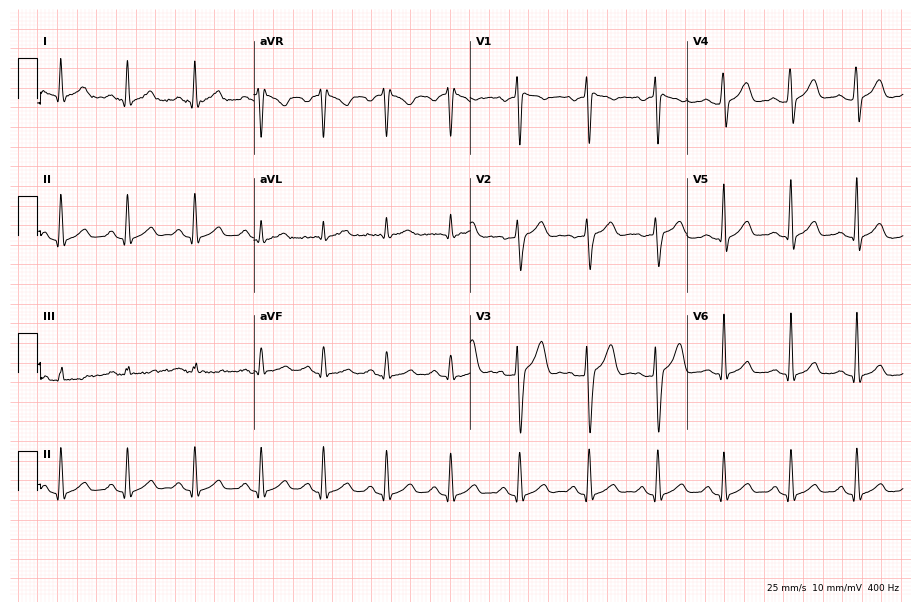
Resting 12-lead electrocardiogram. Patient: a male, 32 years old. Read as a normal ECG.